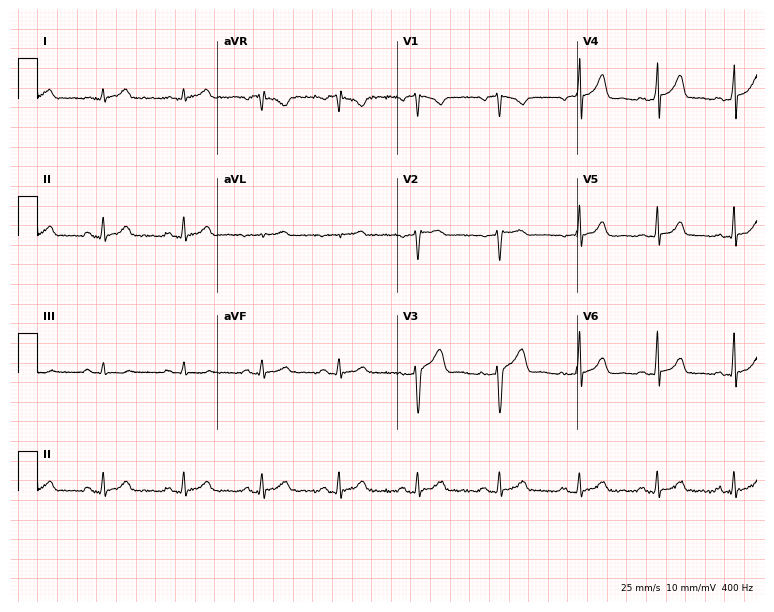
Electrocardiogram, a 34-year-old man. Of the six screened findings (first-degree AV block, right bundle branch block (RBBB), left bundle branch block (LBBB), sinus bradycardia, atrial fibrillation (AF), sinus tachycardia), none is recorded. Only these six findings were labelled.